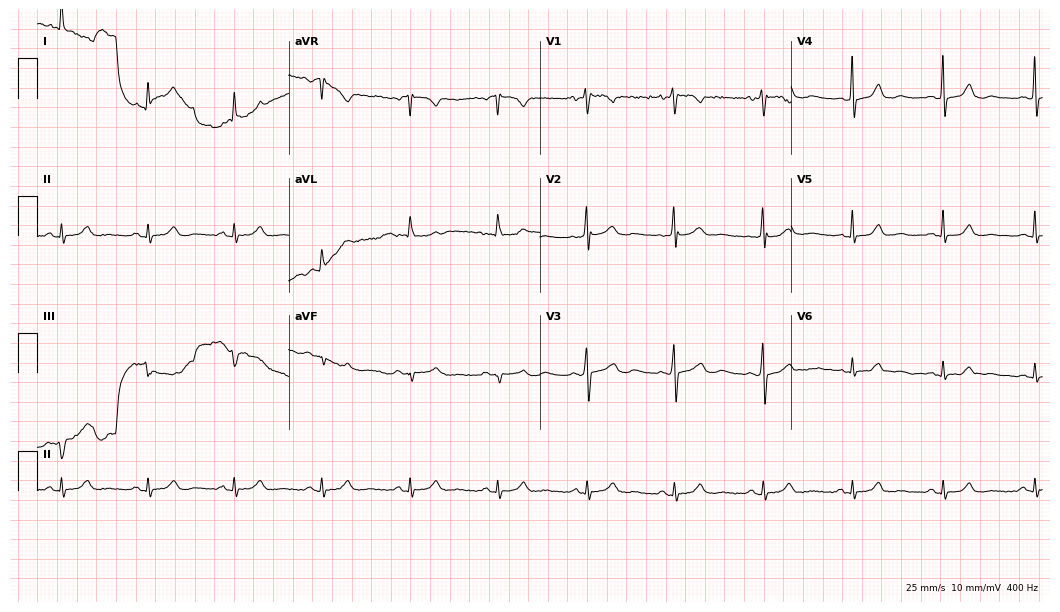
Standard 12-lead ECG recorded from a 22-year-old male patient (10.2-second recording at 400 Hz). None of these six findings is recorded: first-degree AV block, right bundle branch block (RBBB), left bundle branch block (LBBB), sinus bradycardia, atrial fibrillation (AF), sinus tachycardia.